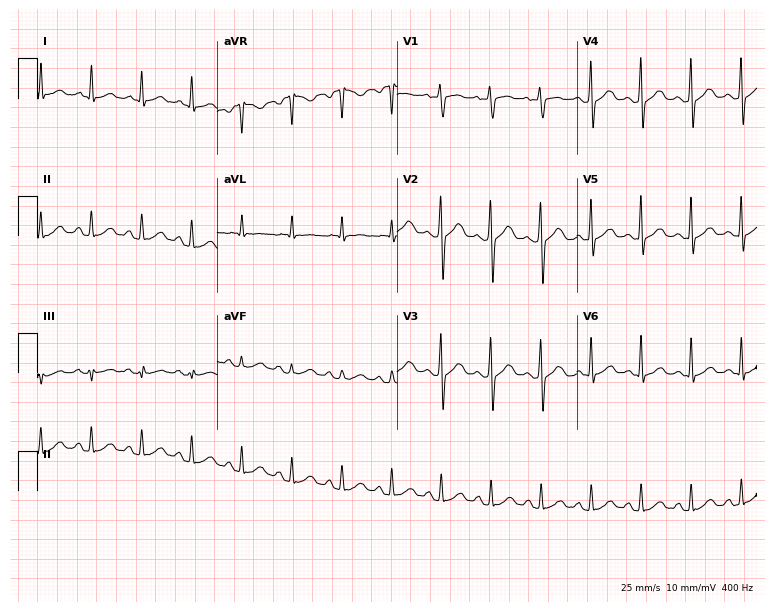
Standard 12-lead ECG recorded from a male patient, 41 years old. The tracing shows sinus tachycardia (a sinus rate of 100 beats per minute or more).